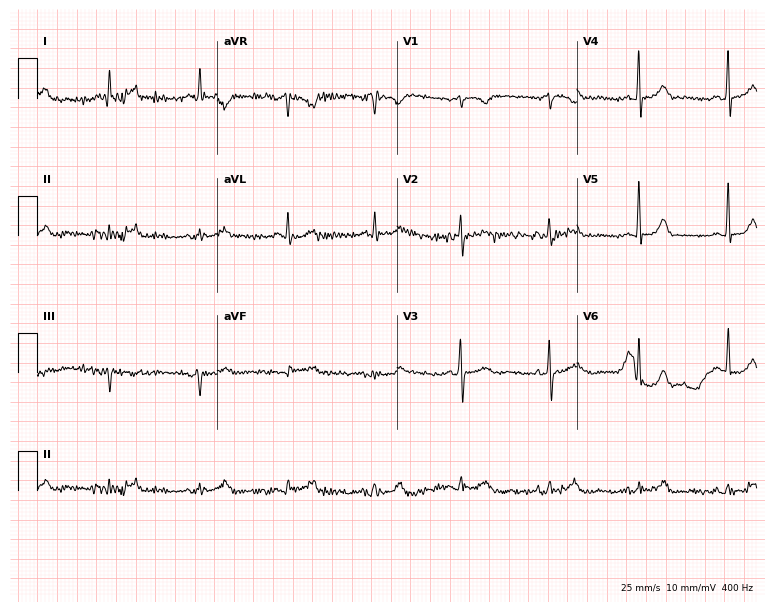
Resting 12-lead electrocardiogram (7.3-second recording at 400 Hz). Patient: a man, 74 years old. Read as a normal ECG.